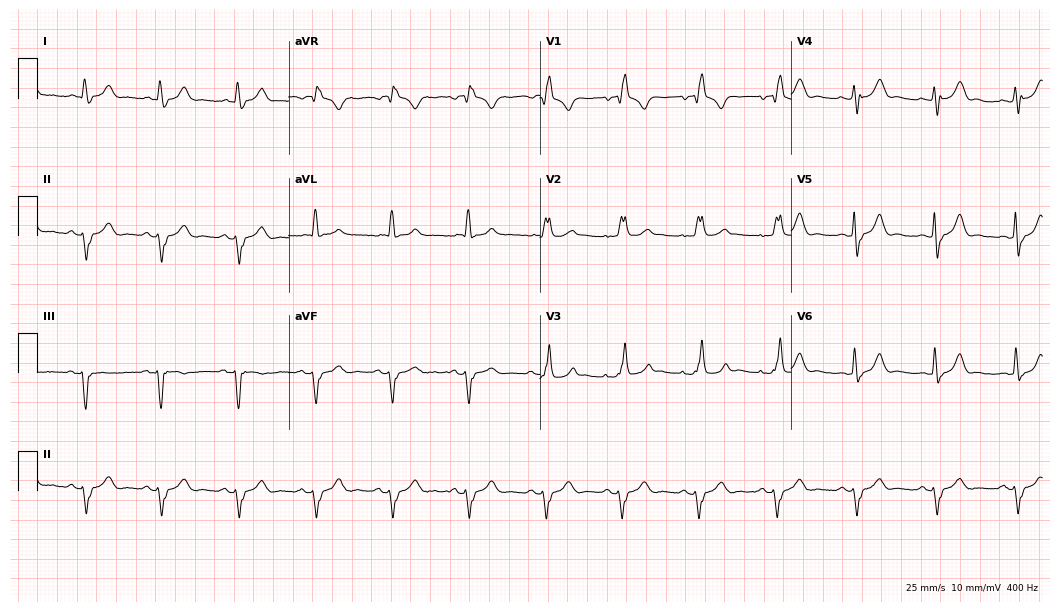
12-lead ECG (10.2-second recording at 400 Hz) from a male patient, 81 years old. Findings include right bundle branch block.